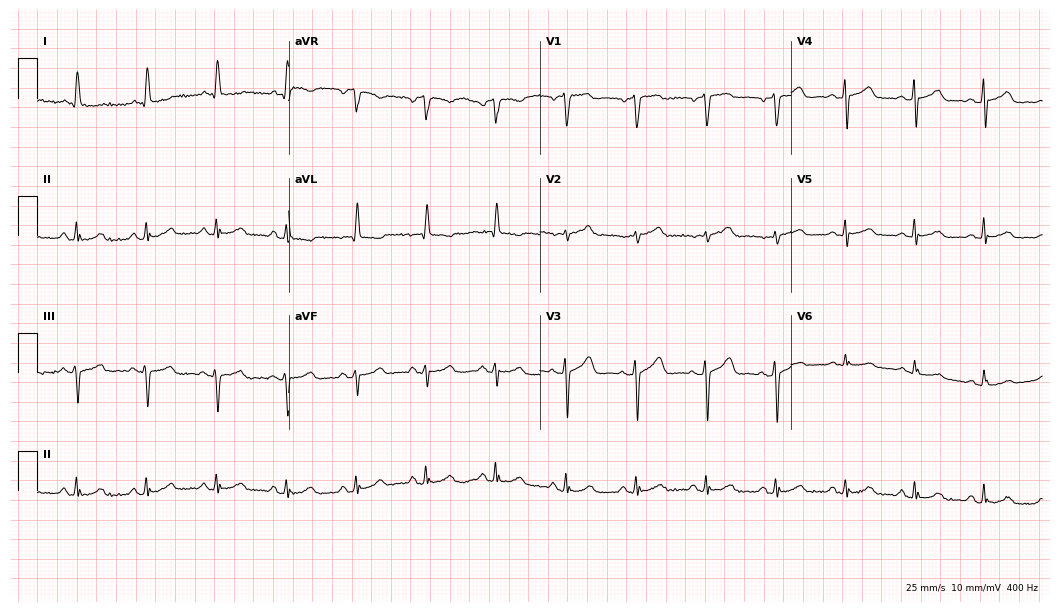
Standard 12-lead ECG recorded from a 56-year-old female patient. None of these six findings is recorded: first-degree AV block, right bundle branch block (RBBB), left bundle branch block (LBBB), sinus bradycardia, atrial fibrillation (AF), sinus tachycardia.